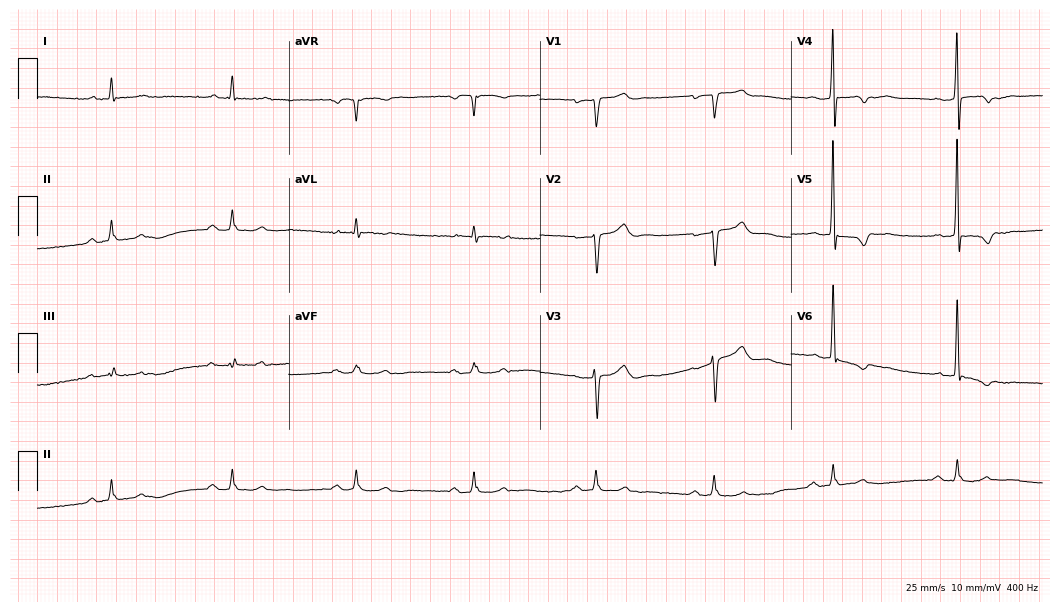
12-lead ECG from a man, 60 years old. Screened for six findings — first-degree AV block, right bundle branch block, left bundle branch block, sinus bradycardia, atrial fibrillation, sinus tachycardia — none is recorded.